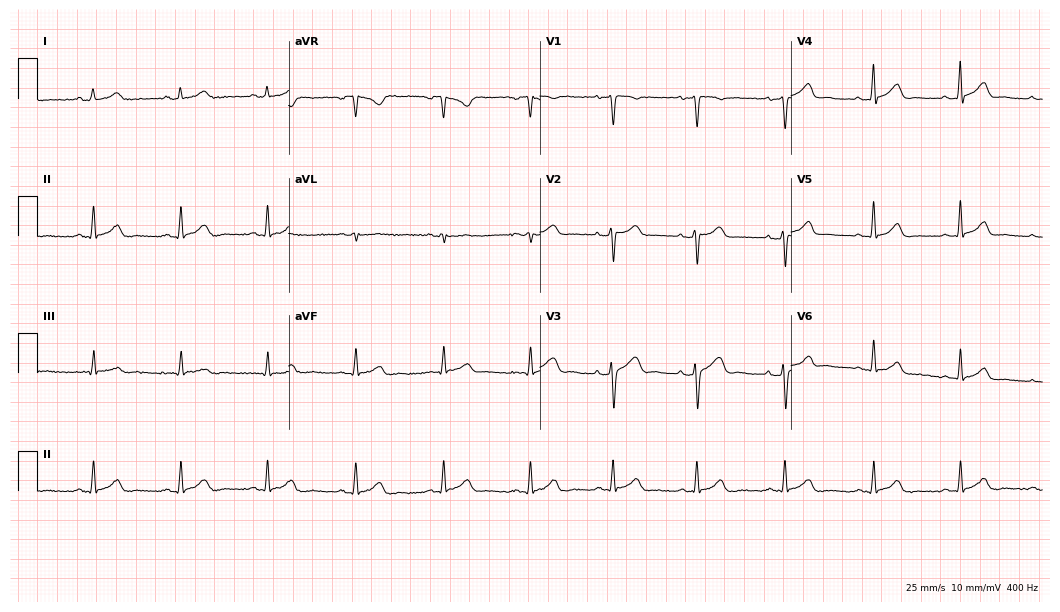
ECG — a female, 35 years old. Screened for six findings — first-degree AV block, right bundle branch block, left bundle branch block, sinus bradycardia, atrial fibrillation, sinus tachycardia — none is recorded.